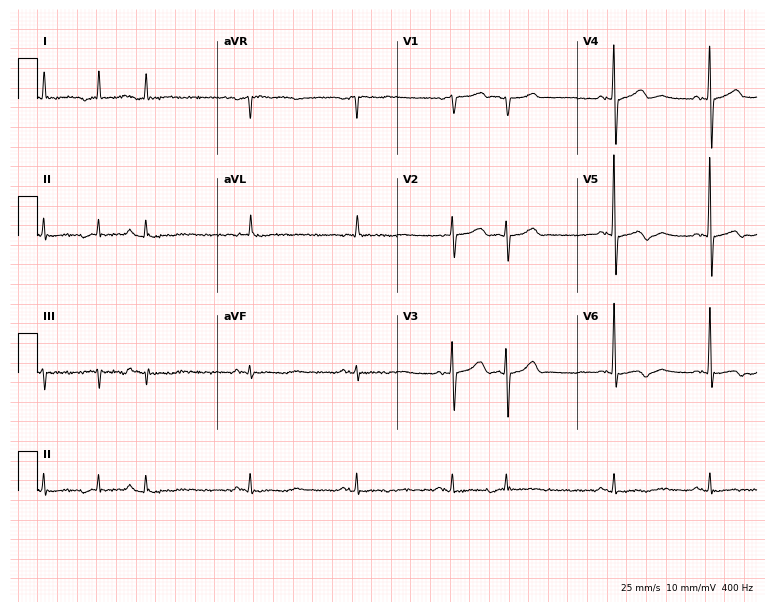
Electrocardiogram (7.3-second recording at 400 Hz), a 78-year-old female patient. Of the six screened findings (first-degree AV block, right bundle branch block, left bundle branch block, sinus bradycardia, atrial fibrillation, sinus tachycardia), none is recorded.